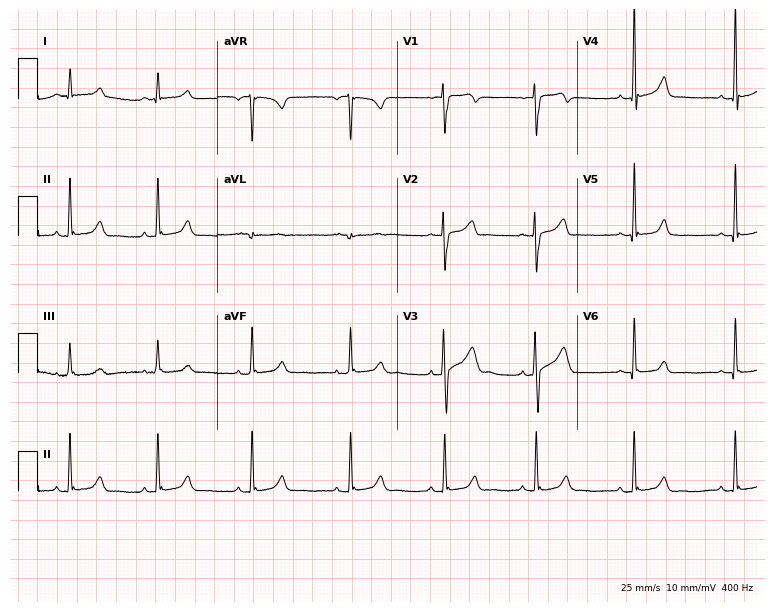
12-lead ECG from a 20-year-old male. Recorded interpretation: within normal limits.